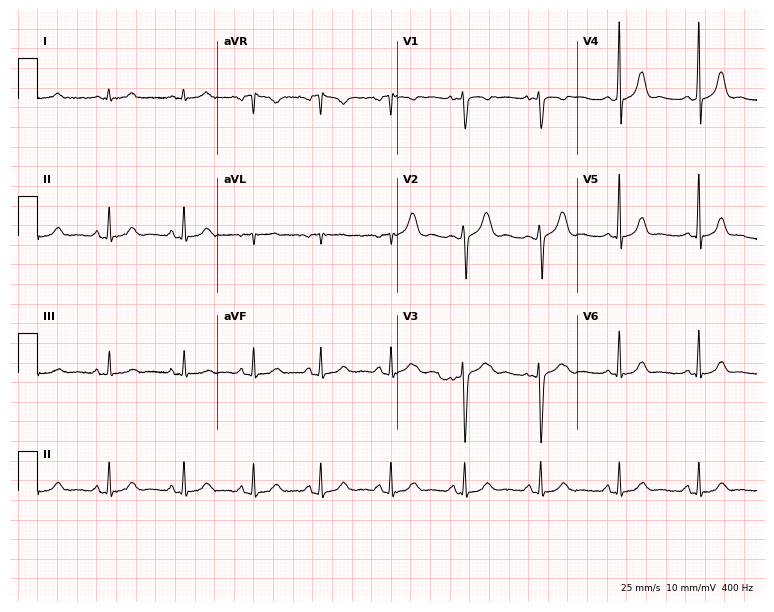
ECG (7.3-second recording at 400 Hz) — a 32-year-old female patient. Labelled as a normal ECG.